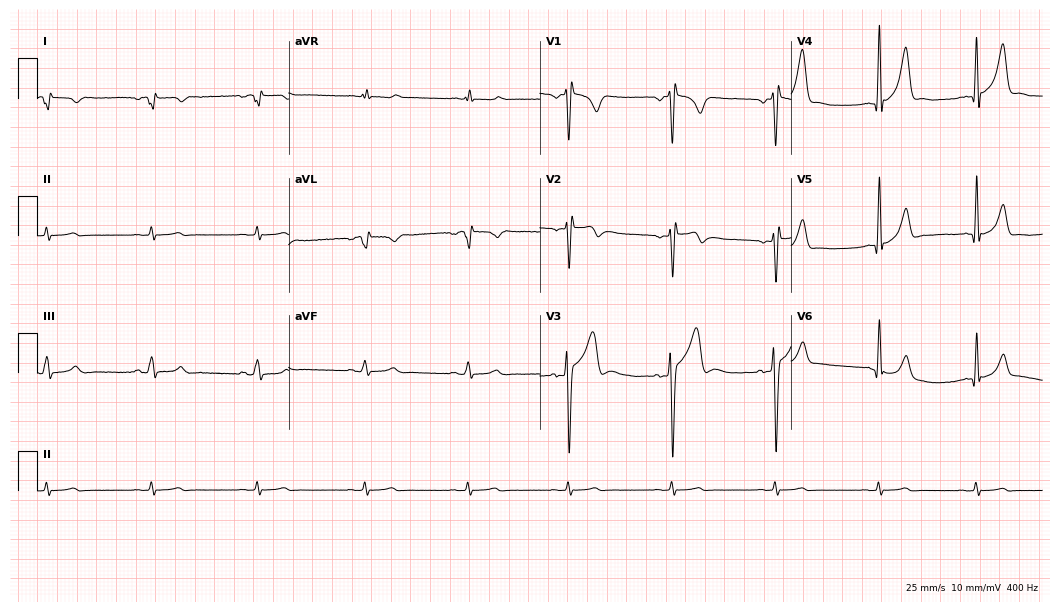
Standard 12-lead ECG recorded from a 26-year-old male patient (10.2-second recording at 400 Hz). None of these six findings is recorded: first-degree AV block, right bundle branch block, left bundle branch block, sinus bradycardia, atrial fibrillation, sinus tachycardia. Only these six findings were labelled.